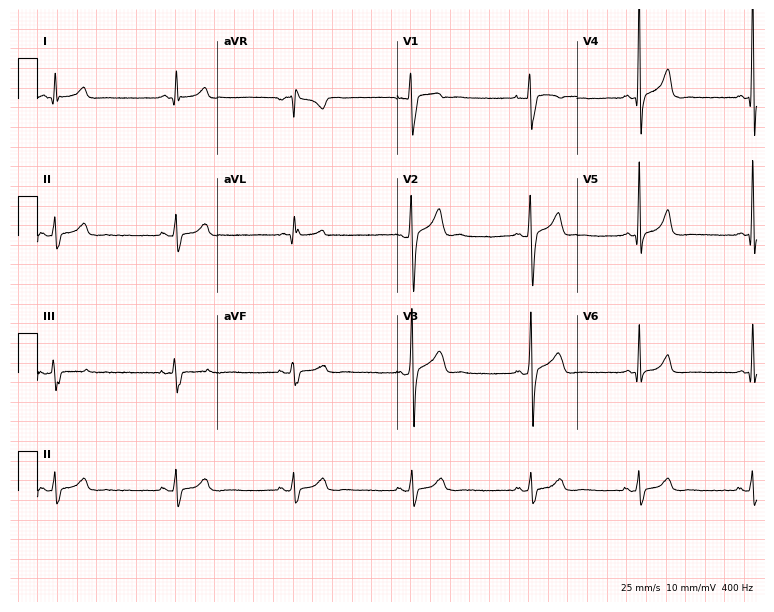
Standard 12-lead ECG recorded from a male patient, 37 years old (7.3-second recording at 400 Hz). None of these six findings is recorded: first-degree AV block, right bundle branch block, left bundle branch block, sinus bradycardia, atrial fibrillation, sinus tachycardia. Findings outside these six are not listed.